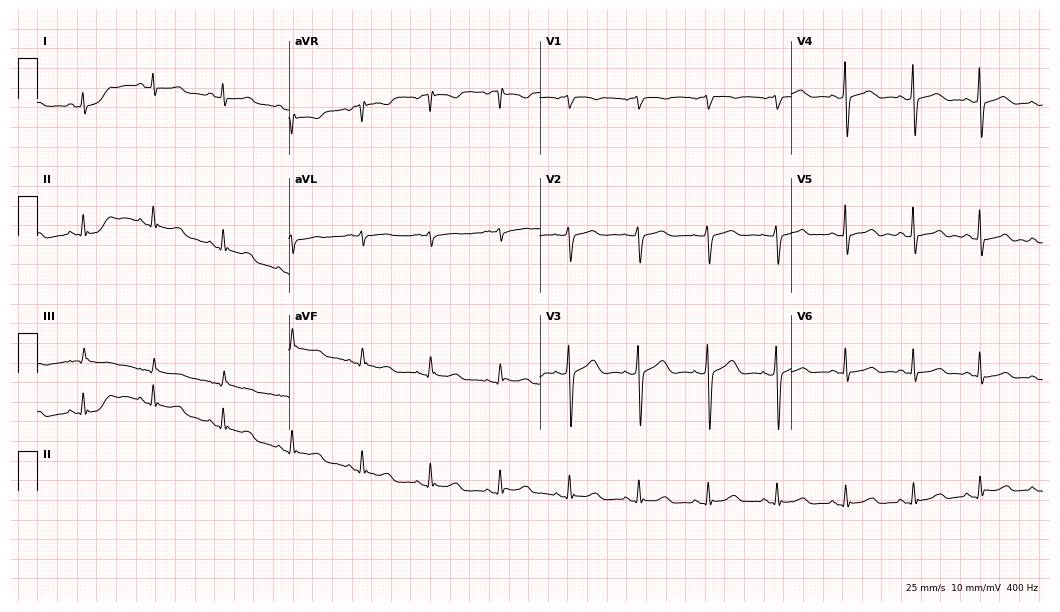
ECG (10.2-second recording at 400 Hz) — a female patient, 60 years old. Labelled as a normal ECG.